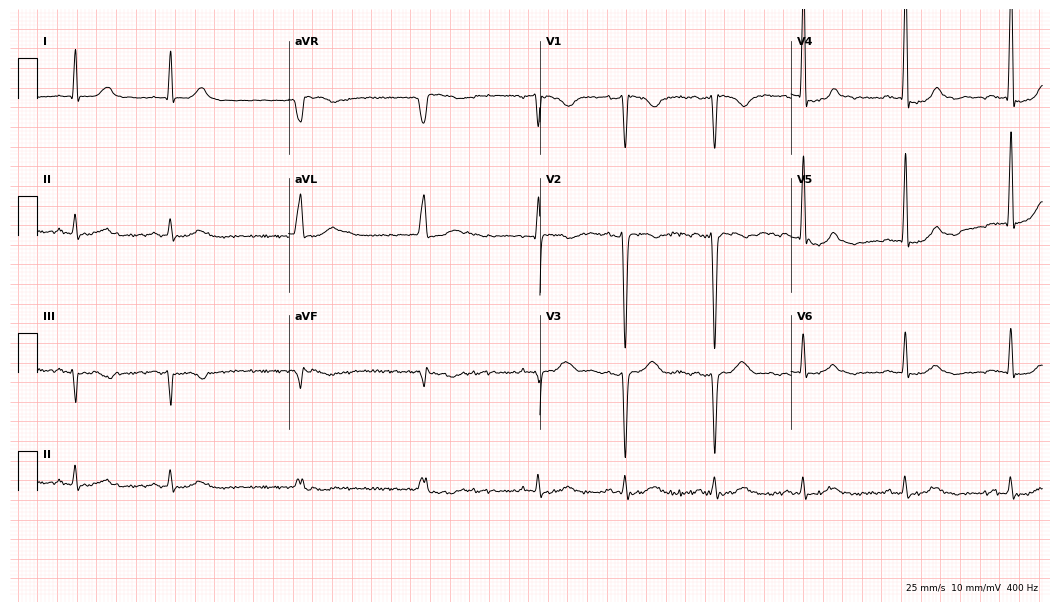
ECG — a female patient, 29 years old. Screened for six findings — first-degree AV block, right bundle branch block (RBBB), left bundle branch block (LBBB), sinus bradycardia, atrial fibrillation (AF), sinus tachycardia — none is recorded.